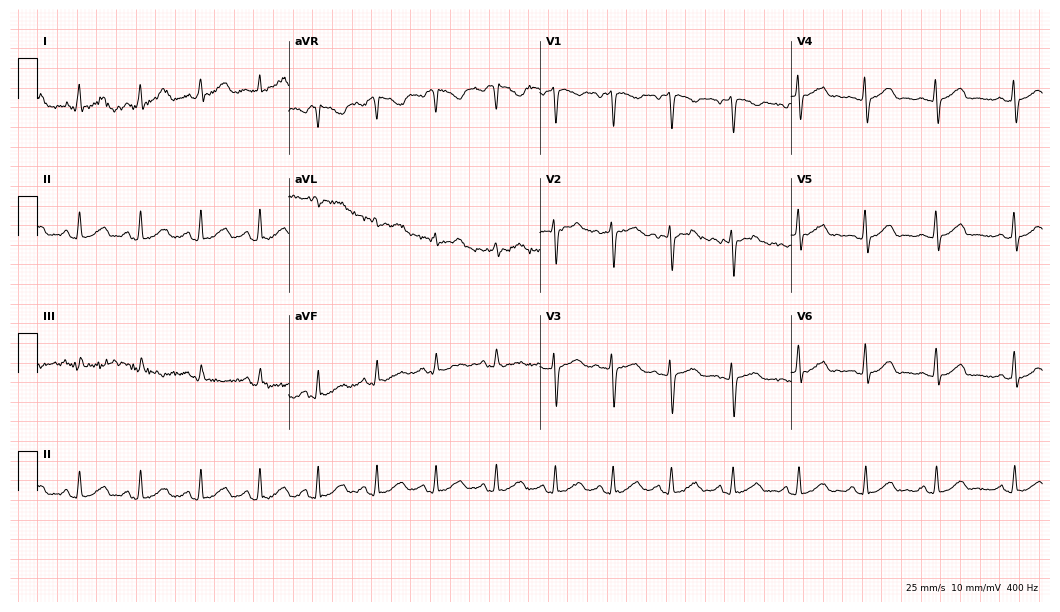
12-lead ECG from a 39-year-old female patient (10.2-second recording at 400 Hz). Recorded interpretation: within normal limits.